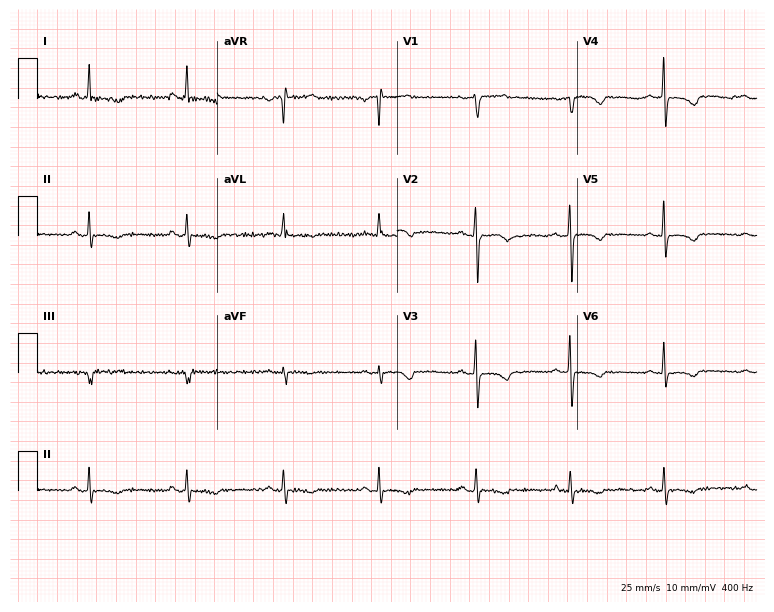
ECG (7.3-second recording at 400 Hz) — a woman, 53 years old. Screened for six findings — first-degree AV block, right bundle branch block (RBBB), left bundle branch block (LBBB), sinus bradycardia, atrial fibrillation (AF), sinus tachycardia — none is recorded. Findings outside these six are not listed.